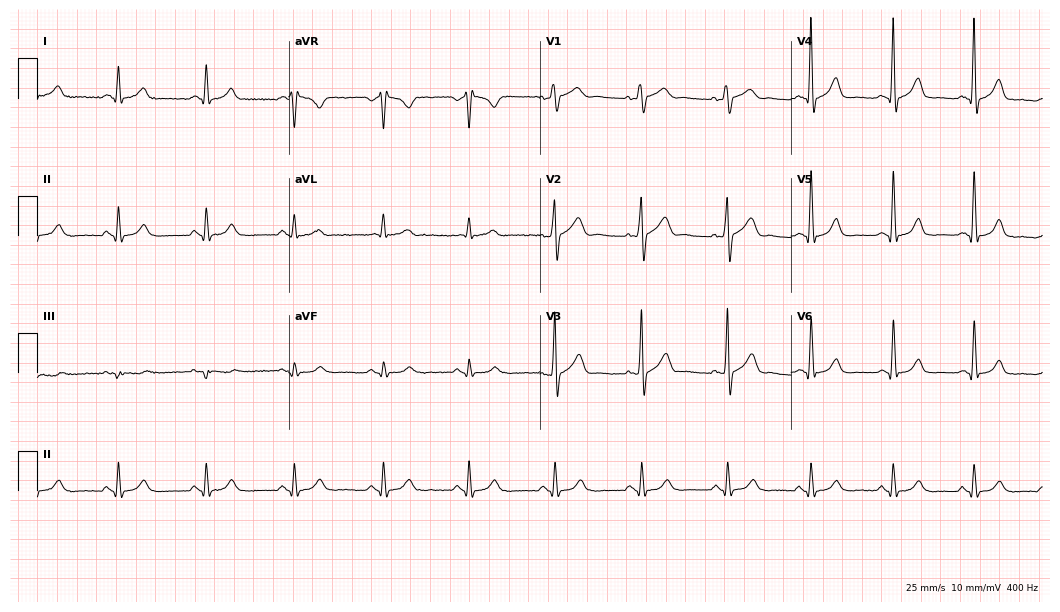
Standard 12-lead ECG recorded from a 54-year-old male (10.2-second recording at 400 Hz). None of these six findings is recorded: first-degree AV block, right bundle branch block (RBBB), left bundle branch block (LBBB), sinus bradycardia, atrial fibrillation (AF), sinus tachycardia.